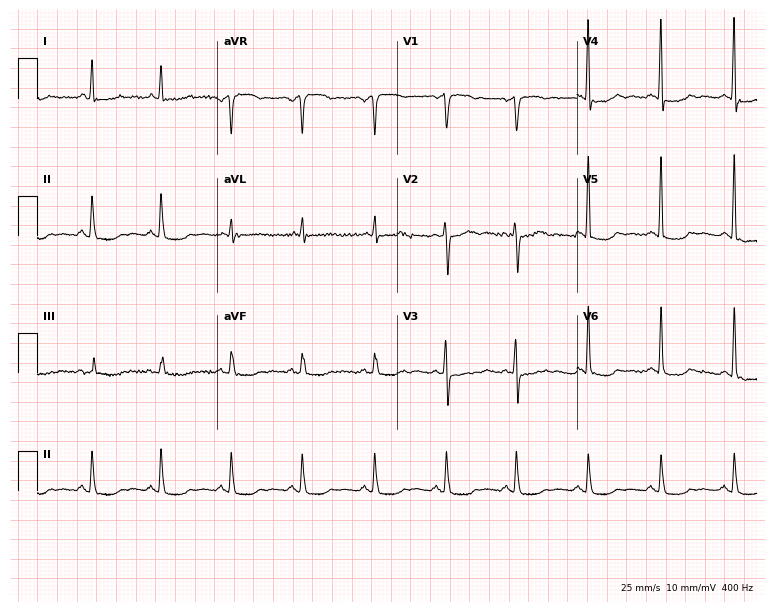
12-lead ECG from a 66-year-old female patient. No first-degree AV block, right bundle branch block, left bundle branch block, sinus bradycardia, atrial fibrillation or sinus tachycardia recorded for this tracing.